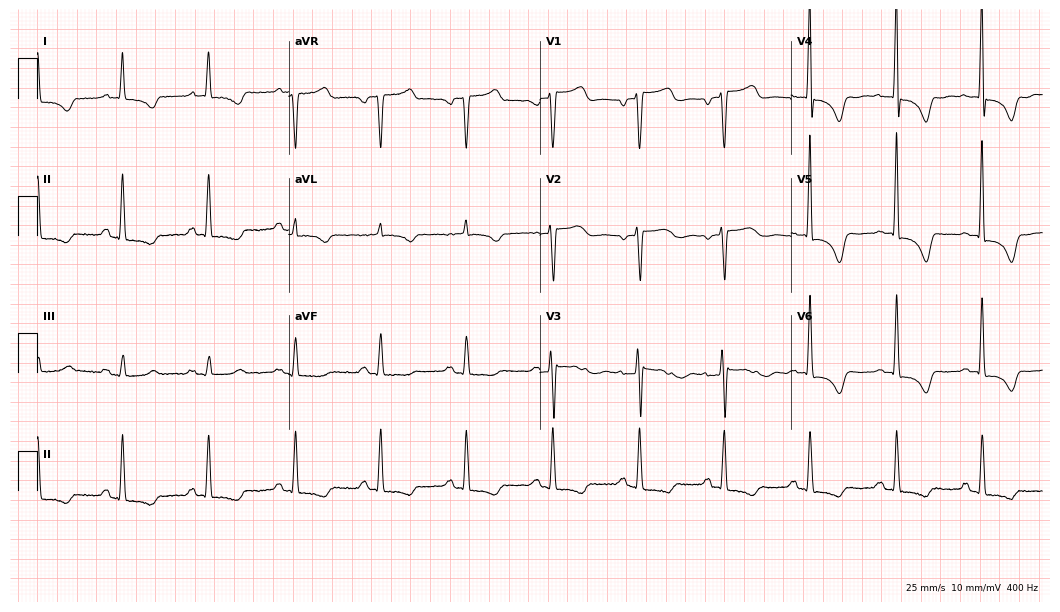
Standard 12-lead ECG recorded from an 83-year-old female. None of these six findings is recorded: first-degree AV block, right bundle branch block, left bundle branch block, sinus bradycardia, atrial fibrillation, sinus tachycardia.